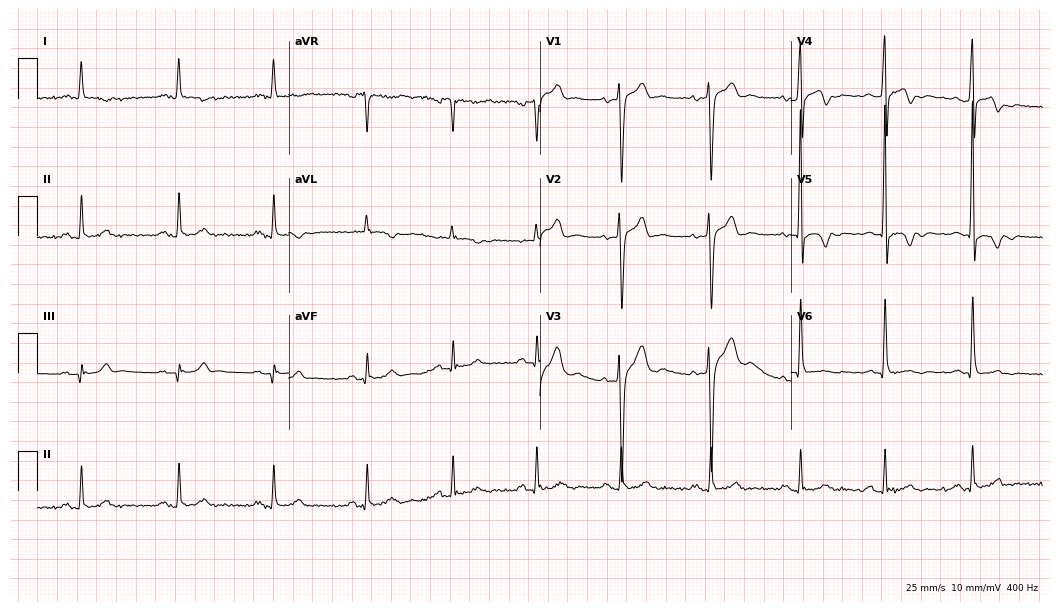
ECG — a man, 33 years old. Screened for six findings — first-degree AV block, right bundle branch block, left bundle branch block, sinus bradycardia, atrial fibrillation, sinus tachycardia — none is recorded. Only these six findings were labelled.